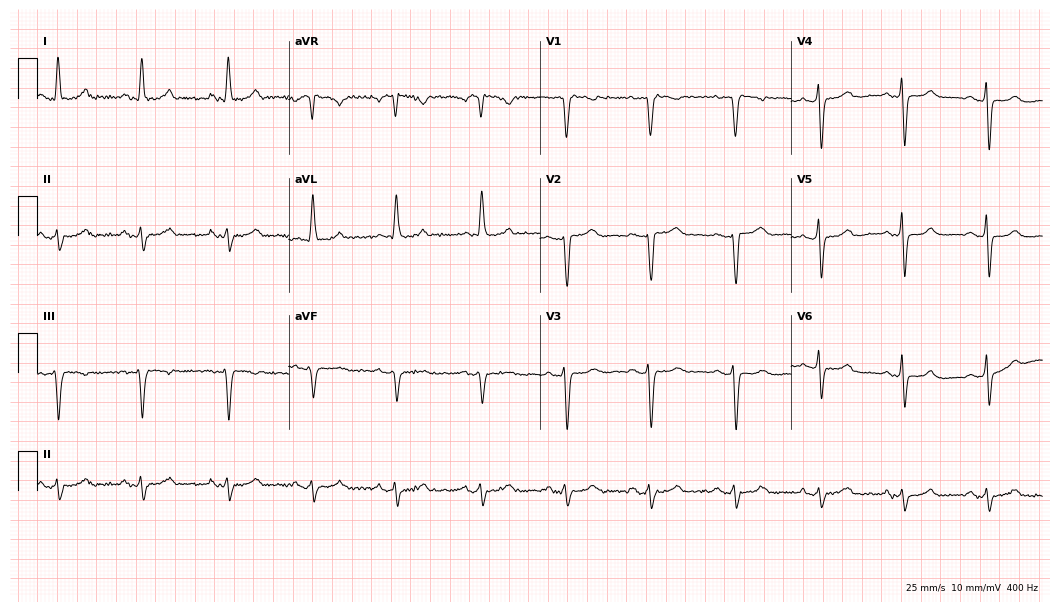
Electrocardiogram (10.2-second recording at 400 Hz), a 53-year-old female patient. Of the six screened findings (first-degree AV block, right bundle branch block, left bundle branch block, sinus bradycardia, atrial fibrillation, sinus tachycardia), none is recorded.